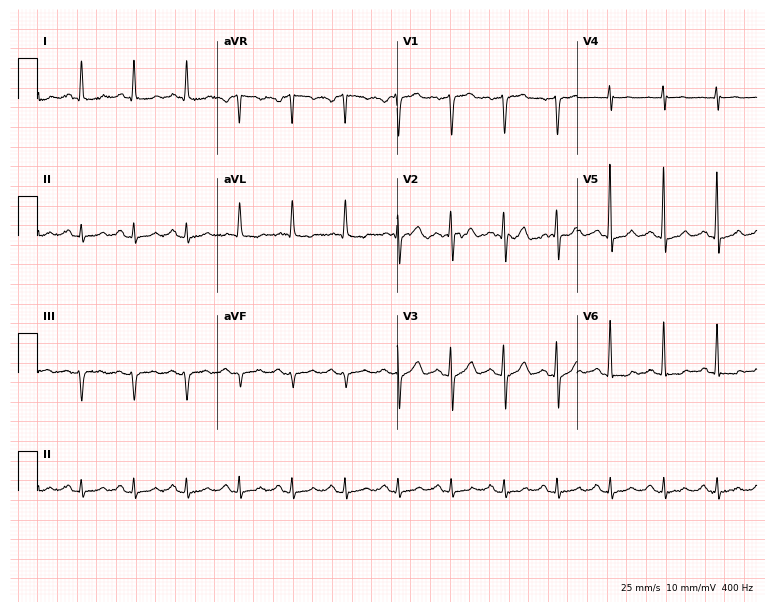
12-lead ECG (7.3-second recording at 400 Hz) from a male, 72 years old. Findings include sinus tachycardia (a sinus rate of 100 beats per minute or more).